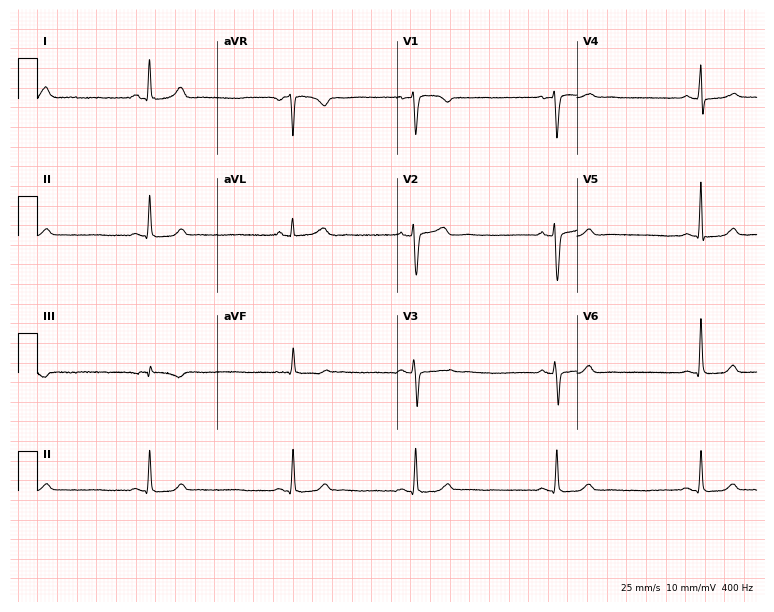
Electrocardiogram, a 48-year-old female. Of the six screened findings (first-degree AV block, right bundle branch block, left bundle branch block, sinus bradycardia, atrial fibrillation, sinus tachycardia), none is recorded. Only these six findings were labelled.